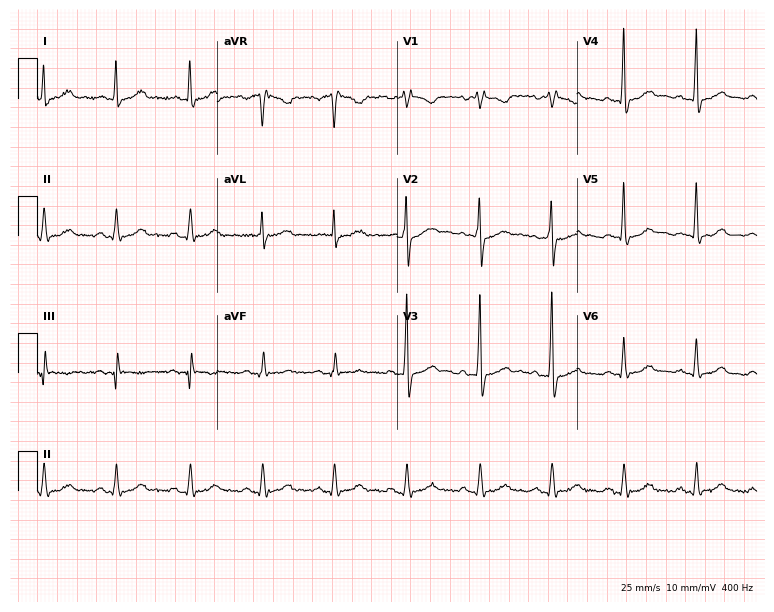
Electrocardiogram (7.3-second recording at 400 Hz), a 66-year-old female. Of the six screened findings (first-degree AV block, right bundle branch block (RBBB), left bundle branch block (LBBB), sinus bradycardia, atrial fibrillation (AF), sinus tachycardia), none is recorded. Other findings, if any, are not listed.